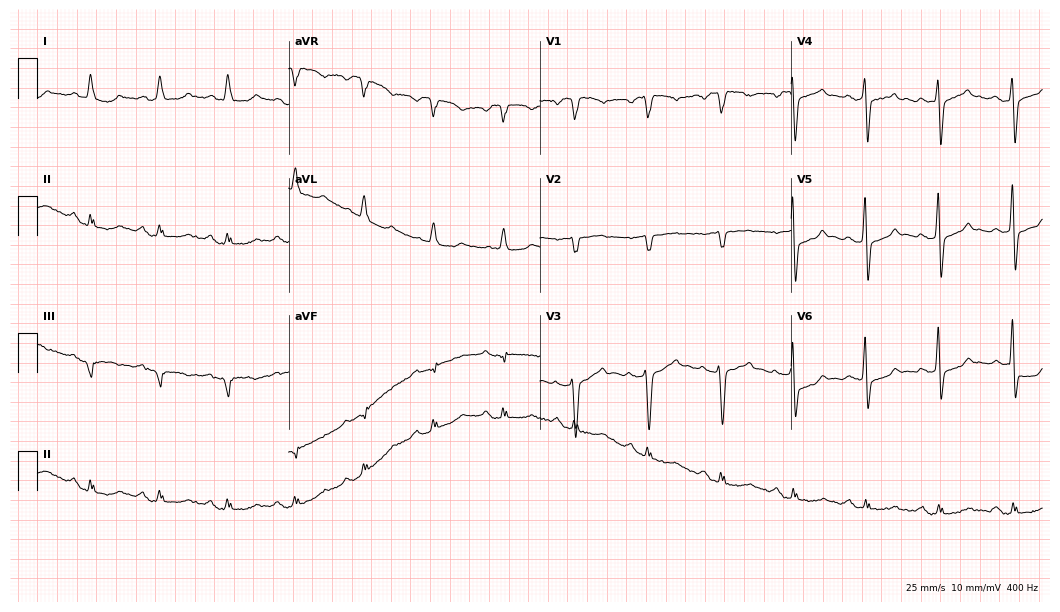
Standard 12-lead ECG recorded from a 58-year-old male. None of these six findings is recorded: first-degree AV block, right bundle branch block, left bundle branch block, sinus bradycardia, atrial fibrillation, sinus tachycardia. Other findings, if any, are not listed.